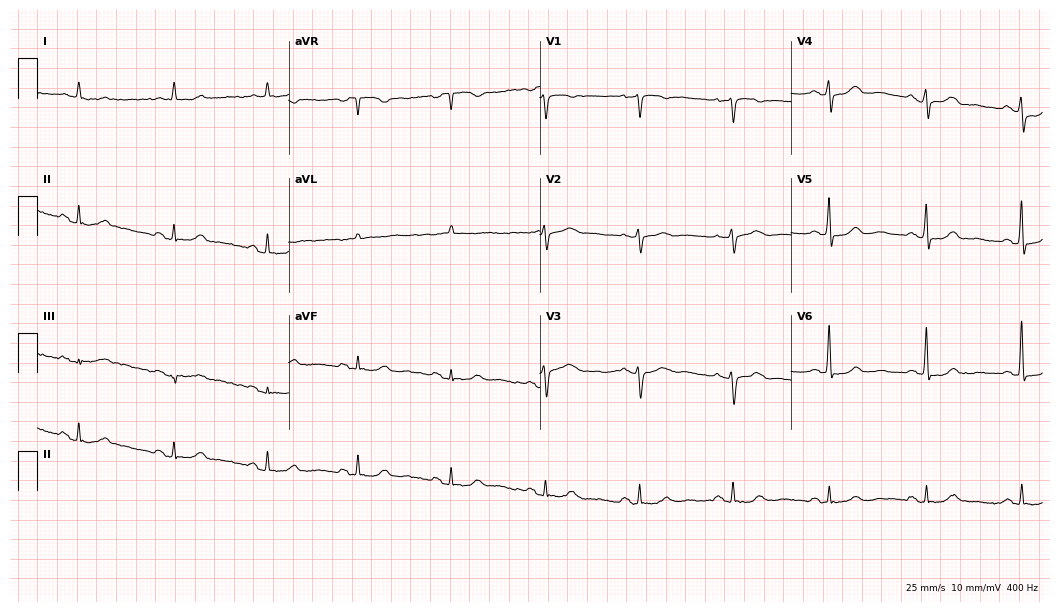
12-lead ECG from a 73-year-old woman. Labelled as a normal ECG.